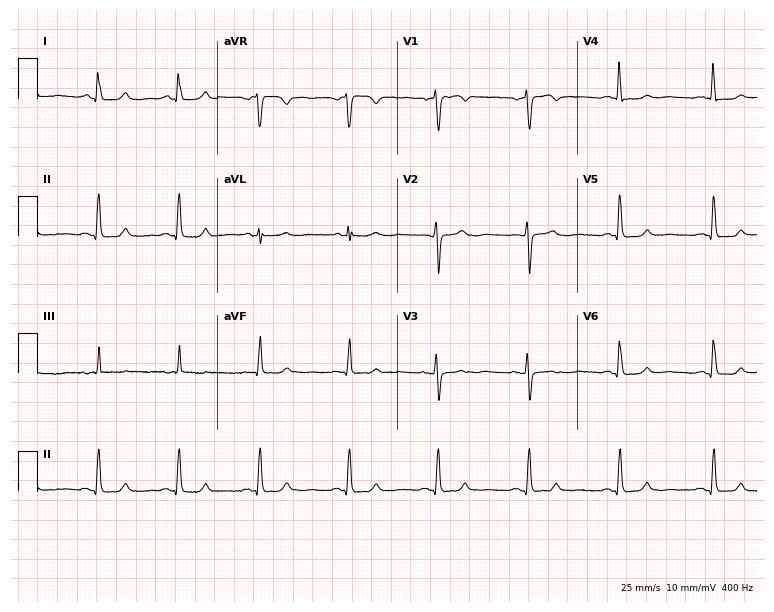
Resting 12-lead electrocardiogram (7.3-second recording at 400 Hz). Patient: a female, 69 years old. None of these six findings is recorded: first-degree AV block, right bundle branch block, left bundle branch block, sinus bradycardia, atrial fibrillation, sinus tachycardia.